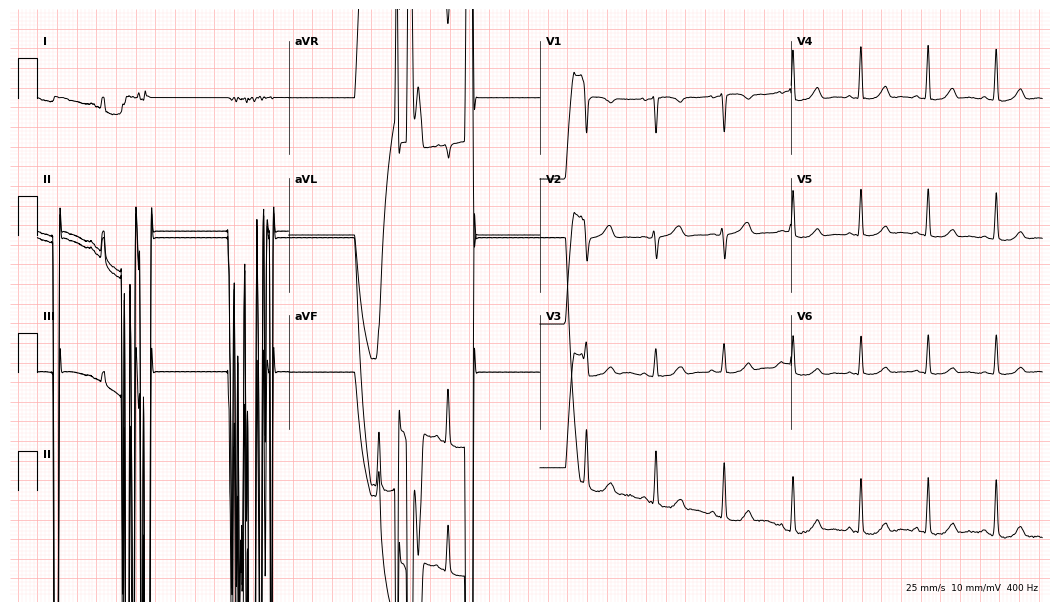
12-lead ECG from a female, 48 years old. Screened for six findings — first-degree AV block, right bundle branch block (RBBB), left bundle branch block (LBBB), sinus bradycardia, atrial fibrillation (AF), sinus tachycardia — none is recorded.